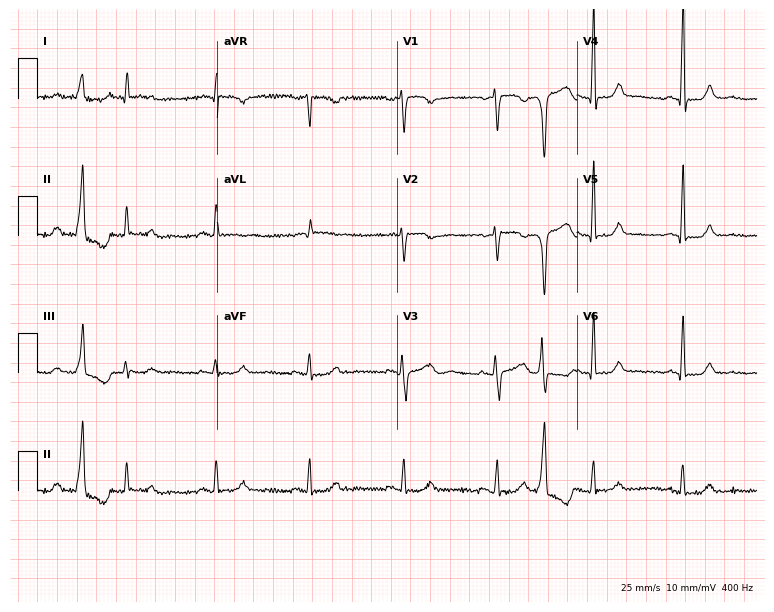
Resting 12-lead electrocardiogram (7.3-second recording at 400 Hz). Patient: a 73-year-old female. The tracing shows atrial fibrillation.